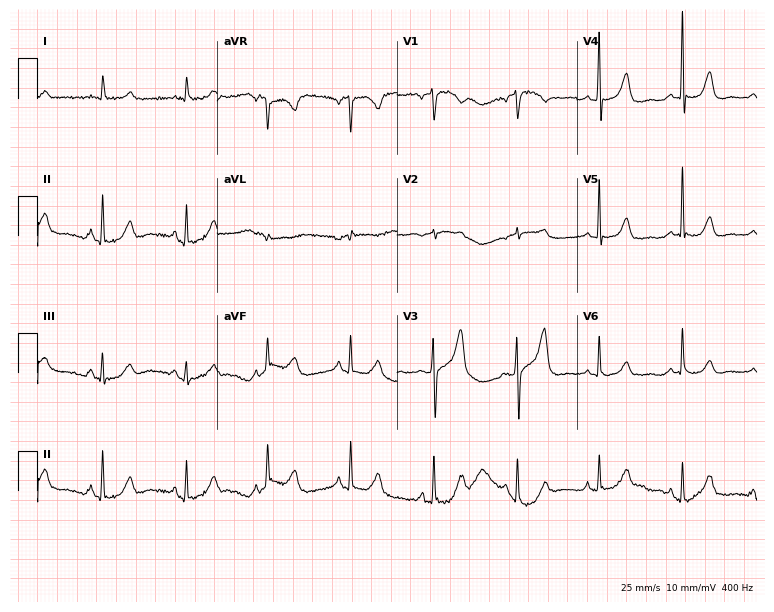
Electrocardiogram (7.3-second recording at 400 Hz), a woman, 79 years old. Overall reading on record: normal ECG.